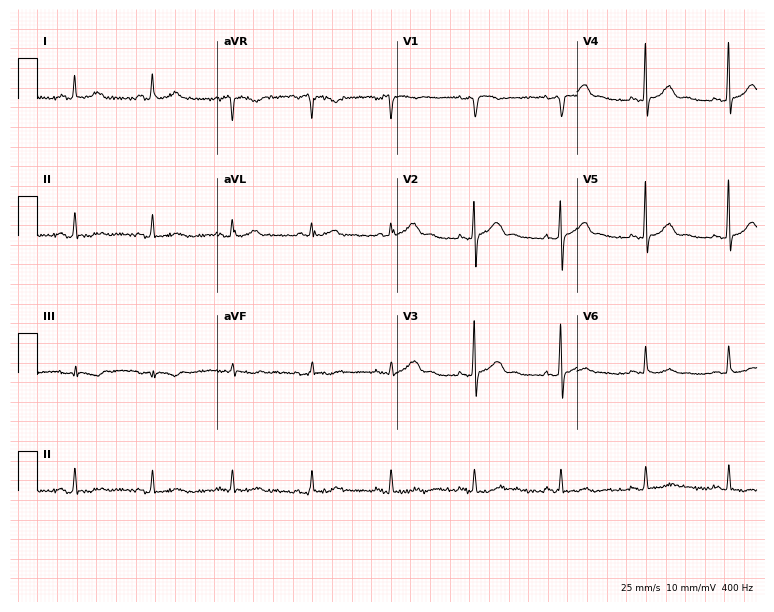
12-lead ECG from a female, 49 years old. Labelled as a normal ECG.